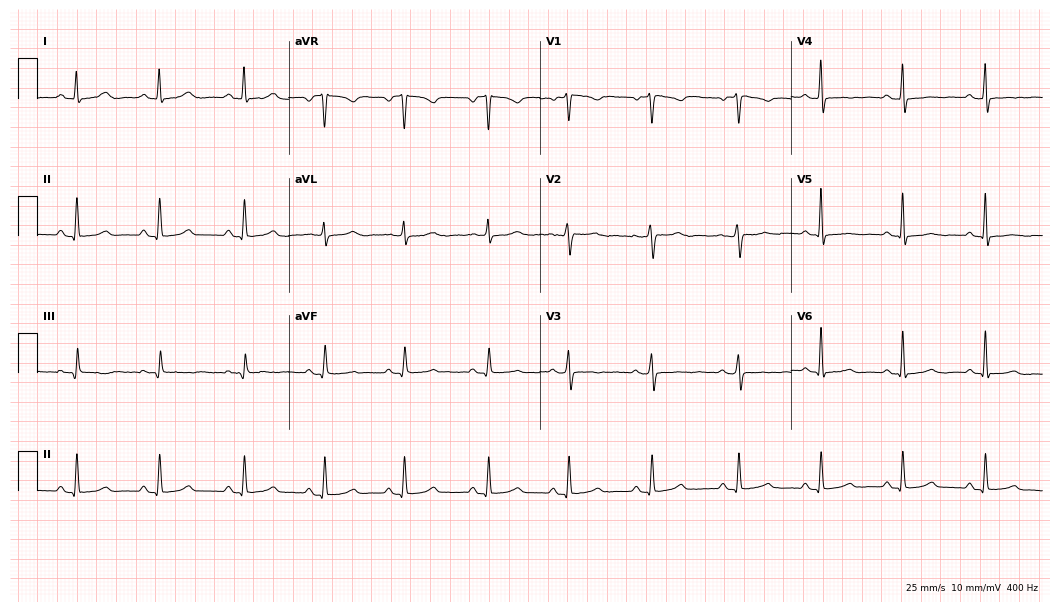
Resting 12-lead electrocardiogram (10.2-second recording at 400 Hz). Patient: a 45-year-old female. Read as a normal ECG.